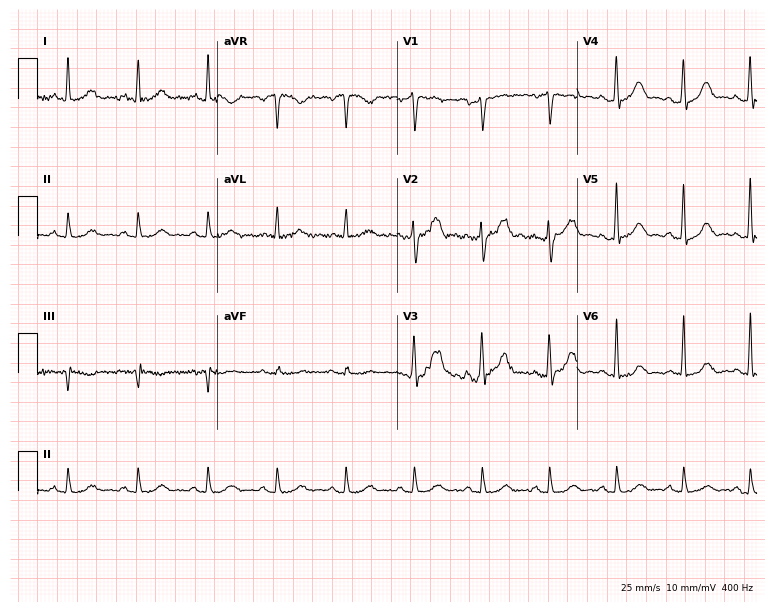
Electrocardiogram, a male patient, 62 years old. Overall reading on record: normal ECG.